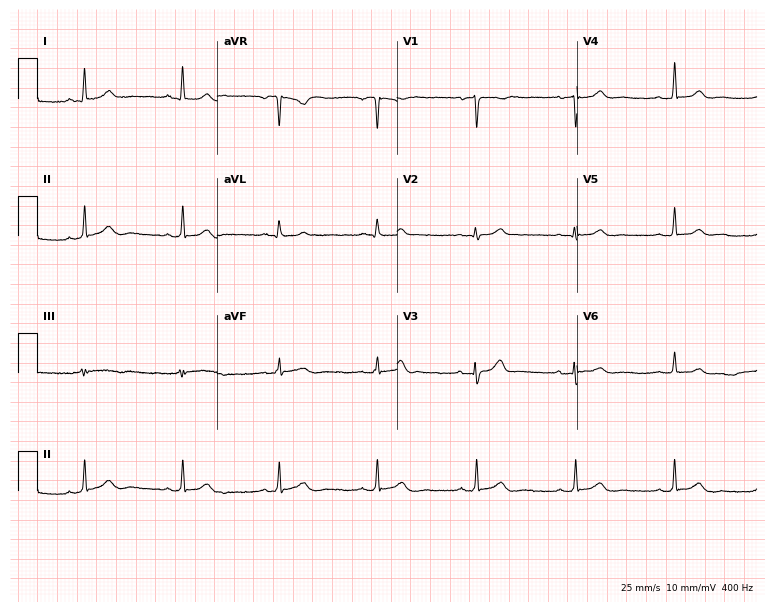
12-lead ECG from a woman, 61 years old. Recorded interpretation: within normal limits.